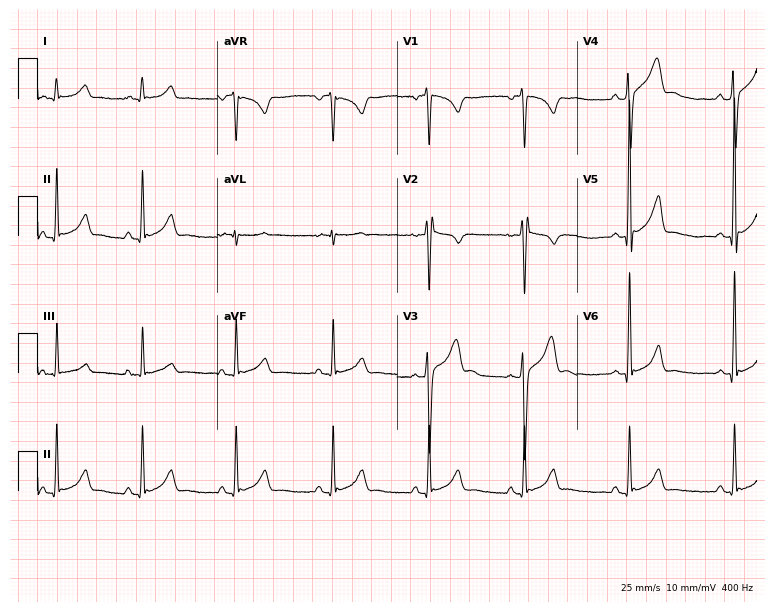
ECG — a male, 27 years old. Labelled as a normal ECG.